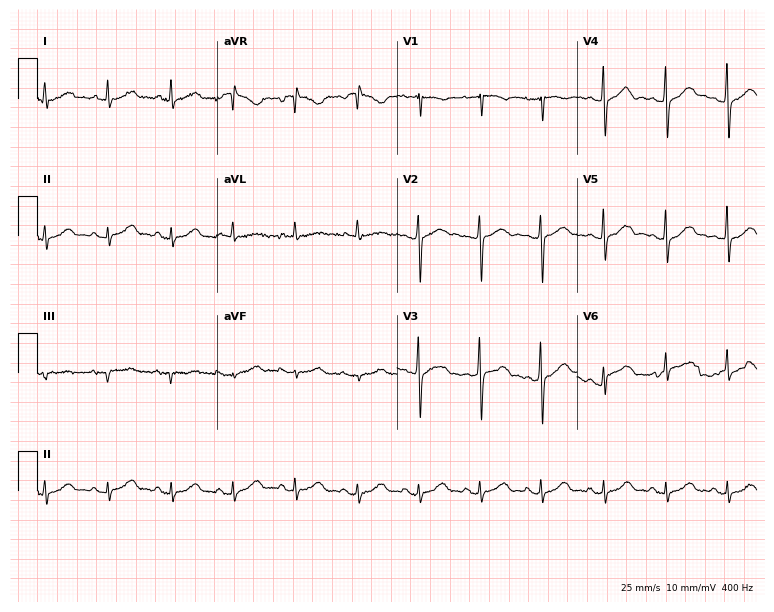
ECG — a female, 75 years old. Labelled as a normal ECG.